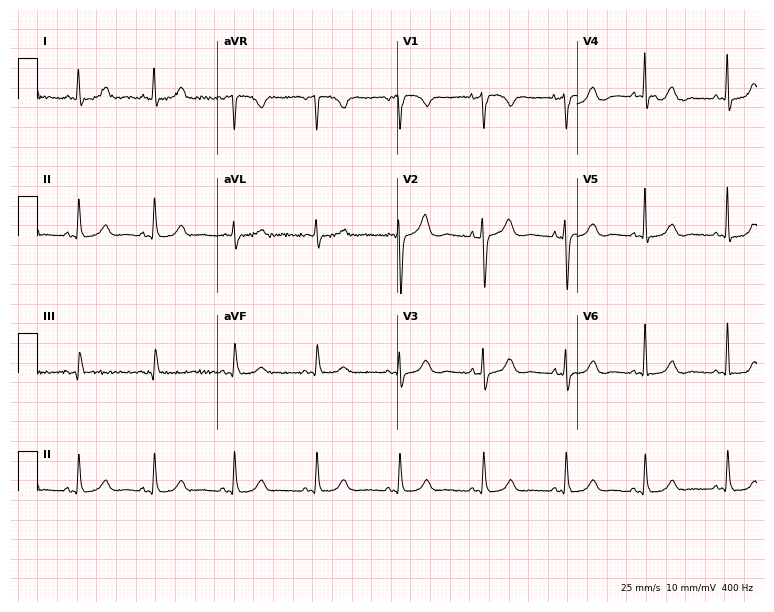
Resting 12-lead electrocardiogram. Patient: a 59-year-old female. None of these six findings is recorded: first-degree AV block, right bundle branch block (RBBB), left bundle branch block (LBBB), sinus bradycardia, atrial fibrillation (AF), sinus tachycardia.